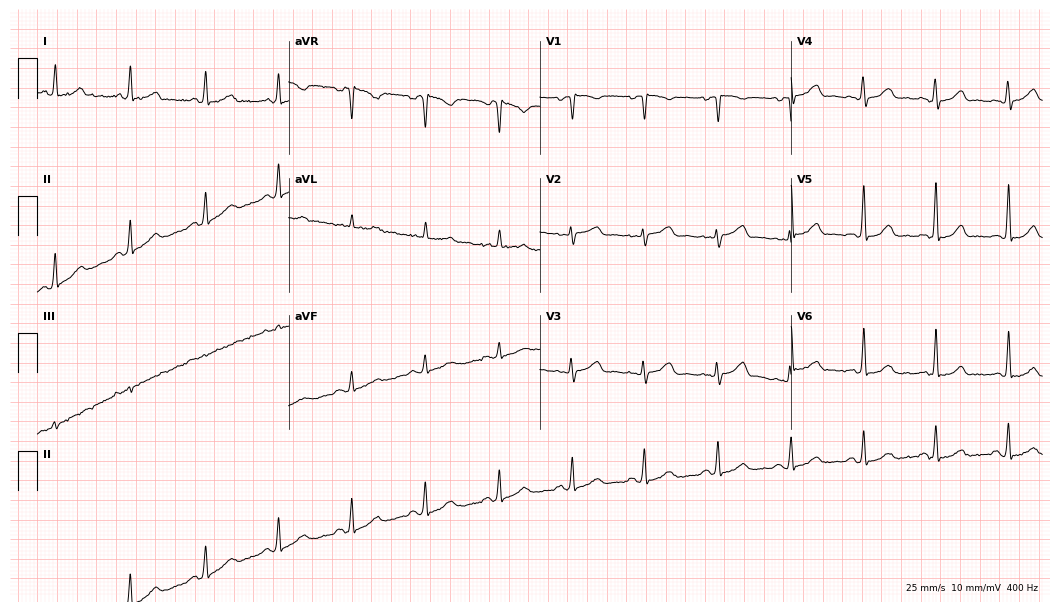
Resting 12-lead electrocardiogram. Patient: a 56-year-old woman. None of these six findings is recorded: first-degree AV block, right bundle branch block, left bundle branch block, sinus bradycardia, atrial fibrillation, sinus tachycardia.